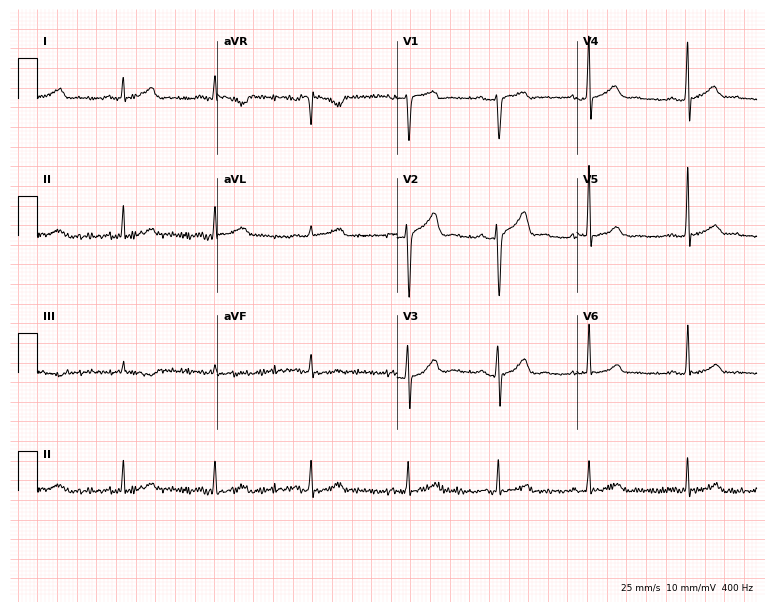
ECG (7.3-second recording at 400 Hz) — a male patient, 40 years old. Labelled as a normal ECG.